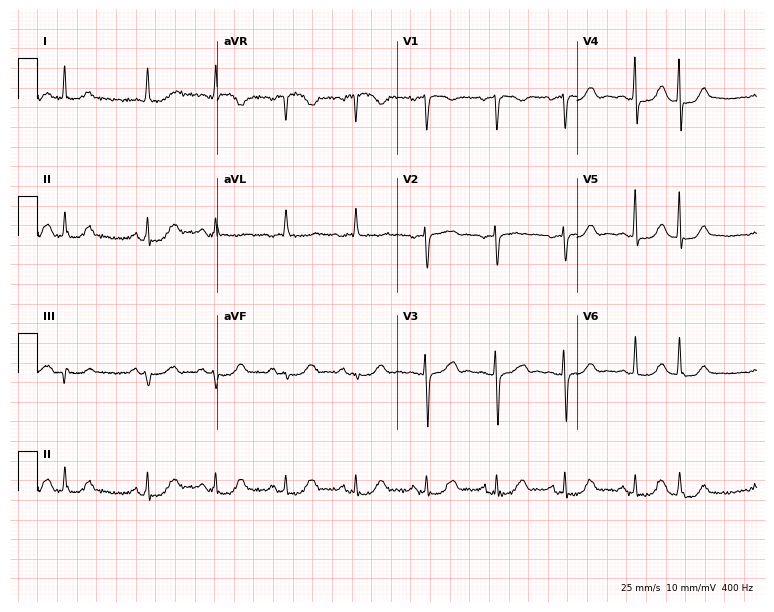
Standard 12-lead ECG recorded from a female patient, 80 years old. Read as a normal ECG.